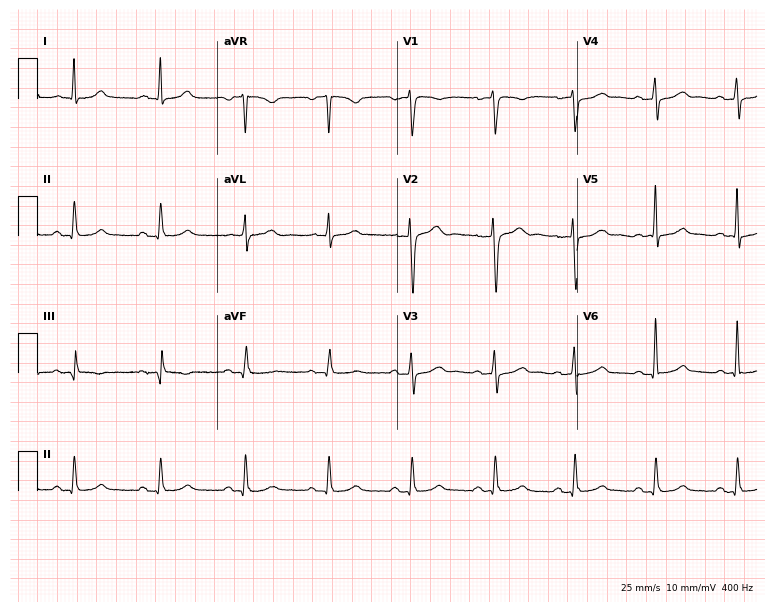
ECG (7.3-second recording at 400 Hz) — a man, 55 years old. Labelled as a normal ECG.